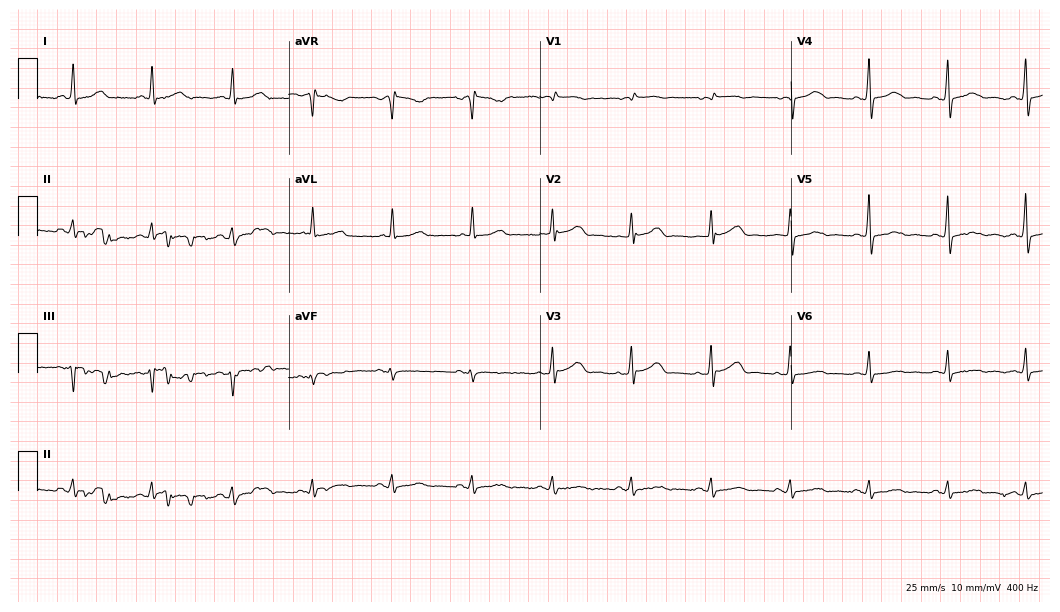
Electrocardiogram, a 60-year-old female. Of the six screened findings (first-degree AV block, right bundle branch block (RBBB), left bundle branch block (LBBB), sinus bradycardia, atrial fibrillation (AF), sinus tachycardia), none is recorded.